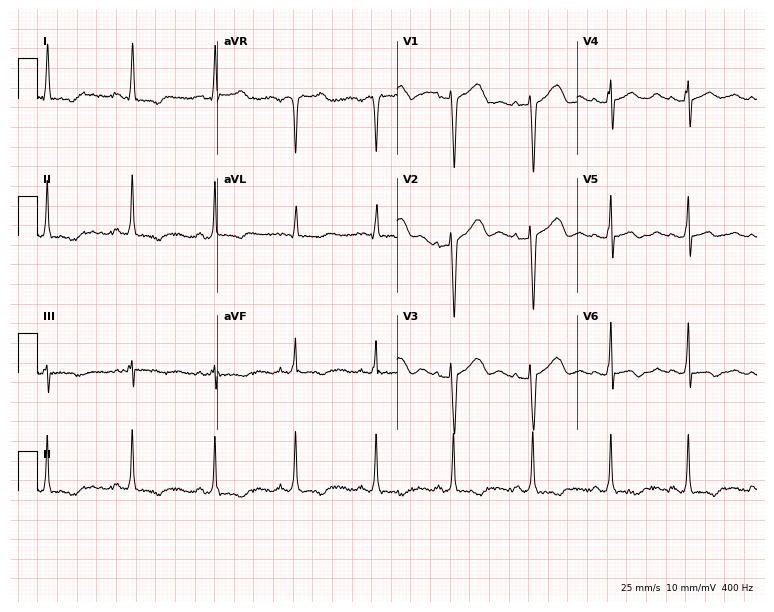
Resting 12-lead electrocardiogram (7.3-second recording at 400 Hz). Patient: a female, 38 years old. None of these six findings is recorded: first-degree AV block, right bundle branch block, left bundle branch block, sinus bradycardia, atrial fibrillation, sinus tachycardia. Findings outside these six are not listed.